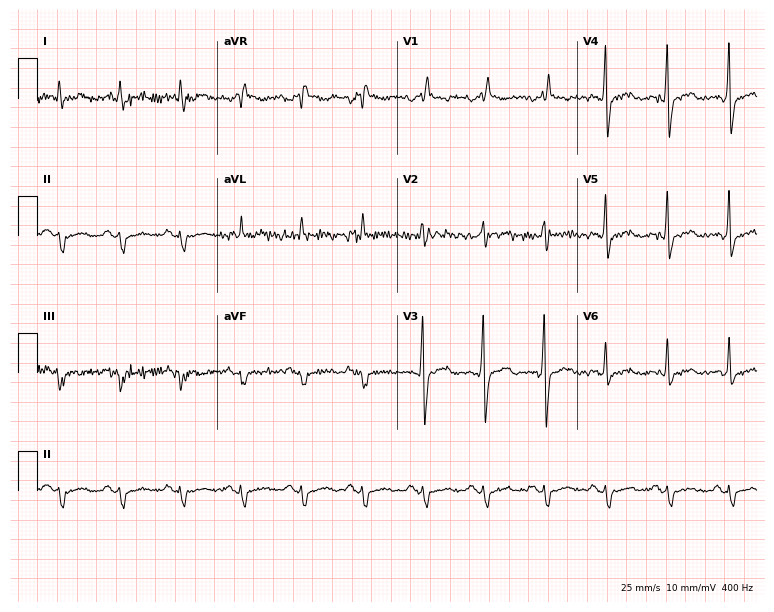
Standard 12-lead ECG recorded from a 38-year-old male patient. None of these six findings is recorded: first-degree AV block, right bundle branch block (RBBB), left bundle branch block (LBBB), sinus bradycardia, atrial fibrillation (AF), sinus tachycardia. Only these six findings were labelled.